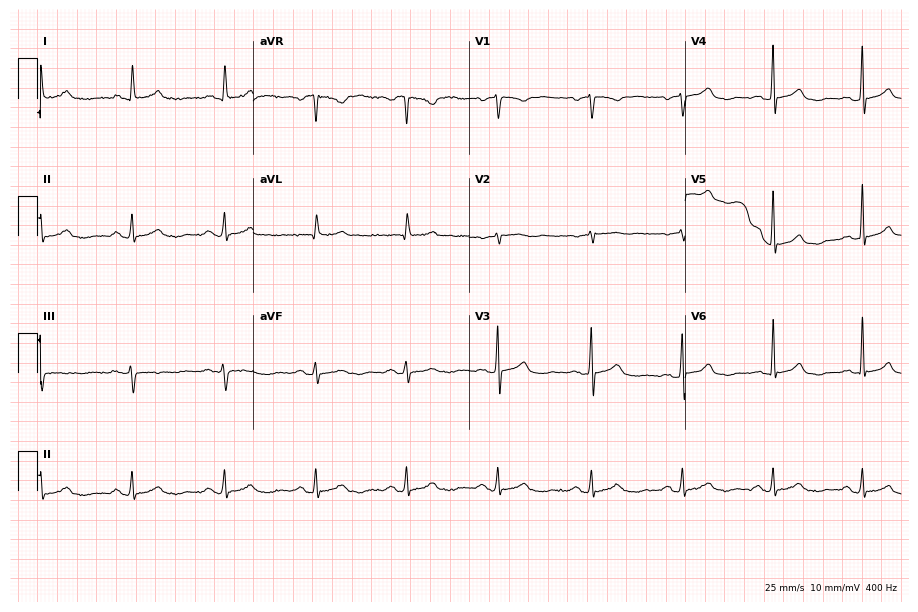
Standard 12-lead ECG recorded from a female patient, 63 years old (8.8-second recording at 400 Hz). None of these six findings is recorded: first-degree AV block, right bundle branch block, left bundle branch block, sinus bradycardia, atrial fibrillation, sinus tachycardia.